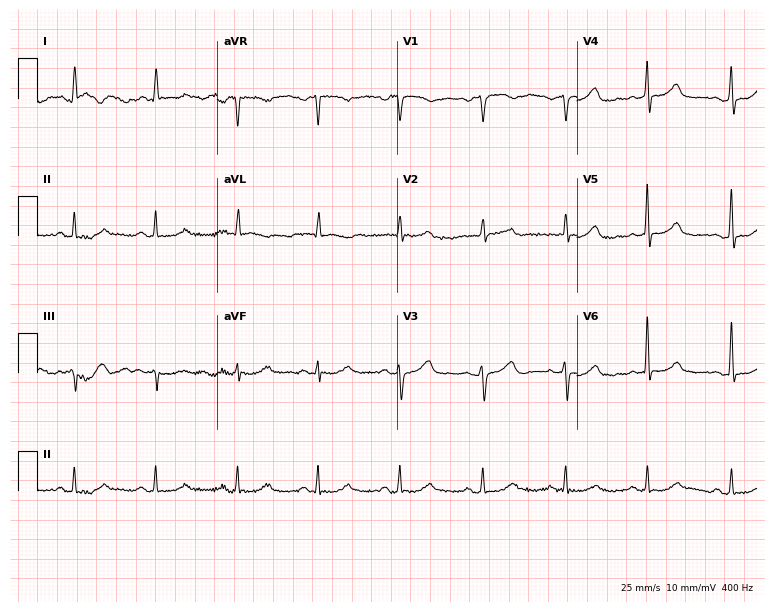
12-lead ECG from a woman, 71 years old. Labelled as a normal ECG.